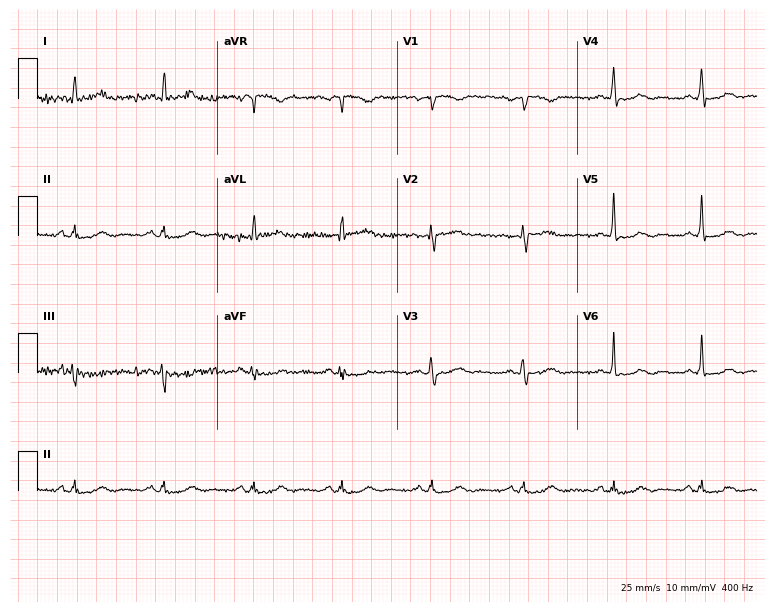
Standard 12-lead ECG recorded from a 37-year-old female patient. Read as a normal ECG.